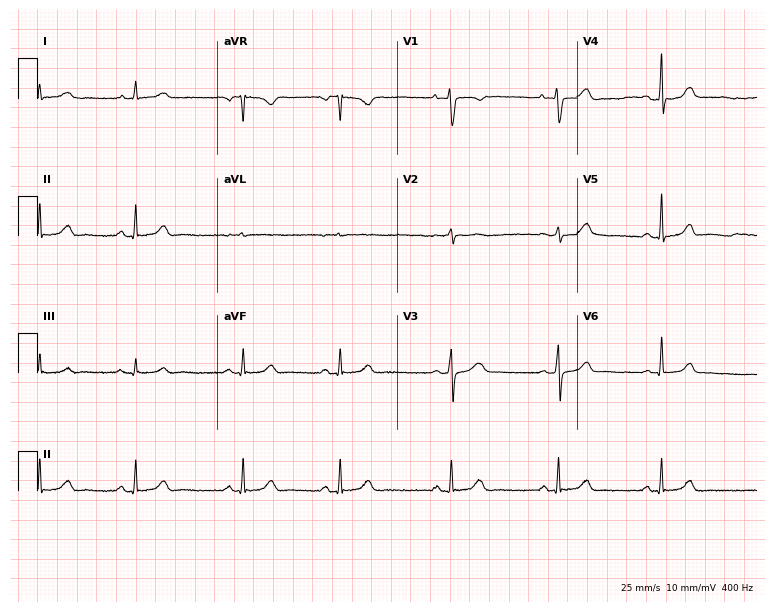
Resting 12-lead electrocardiogram. Patient: a 24-year-old woman. None of these six findings is recorded: first-degree AV block, right bundle branch block, left bundle branch block, sinus bradycardia, atrial fibrillation, sinus tachycardia. Other findings, if any, are not listed.